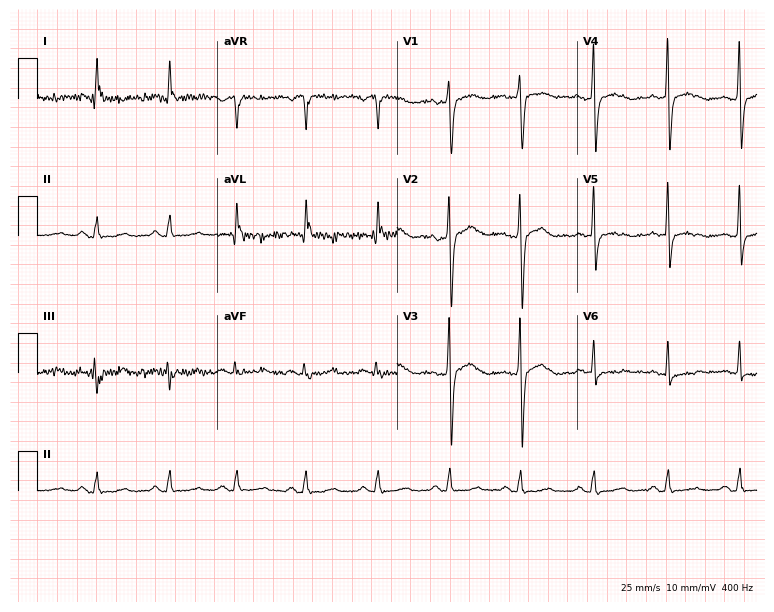
Resting 12-lead electrocardiogram (7.3-second recording at 400 Hz). Patient: a female, 55 years old. None of these six findings is recorded: first-degree AV block, right bundle branch block (RBBB), left bundle branch block (LBBB), sinus bradycardia, atrial fibrillation (AF), sinus tachycardia.